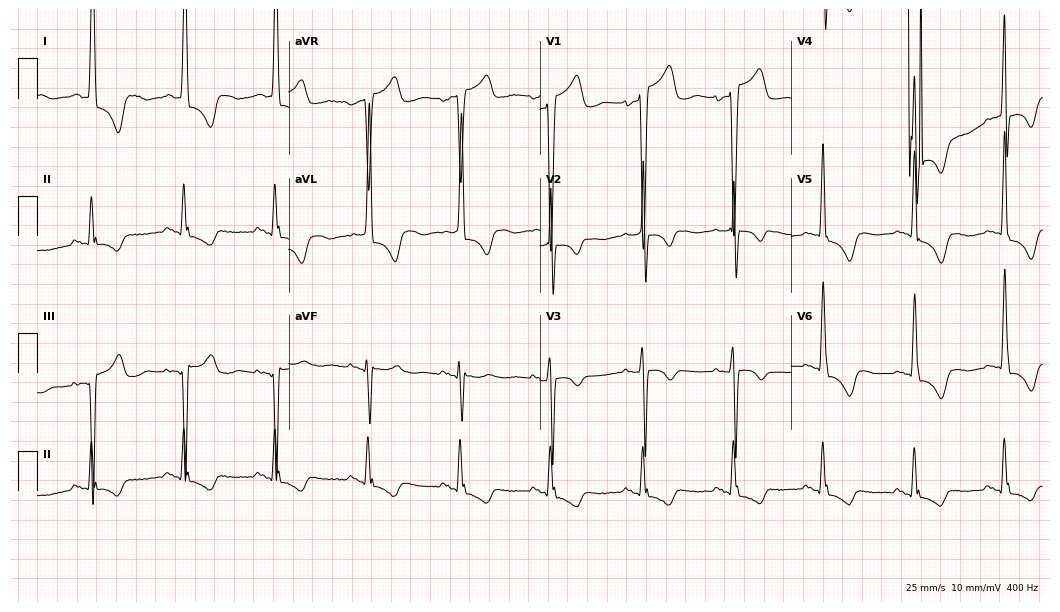
Resting 12-lead electrocardiogram. Patient: an 81-year-old female. None of these six findings is recorded: first-degree AV block, right bundle branch block (RBBB), left bundle branch block (LBBB), sinus bradycardia, atrial fibrillation (AF), sinus tachycardia.